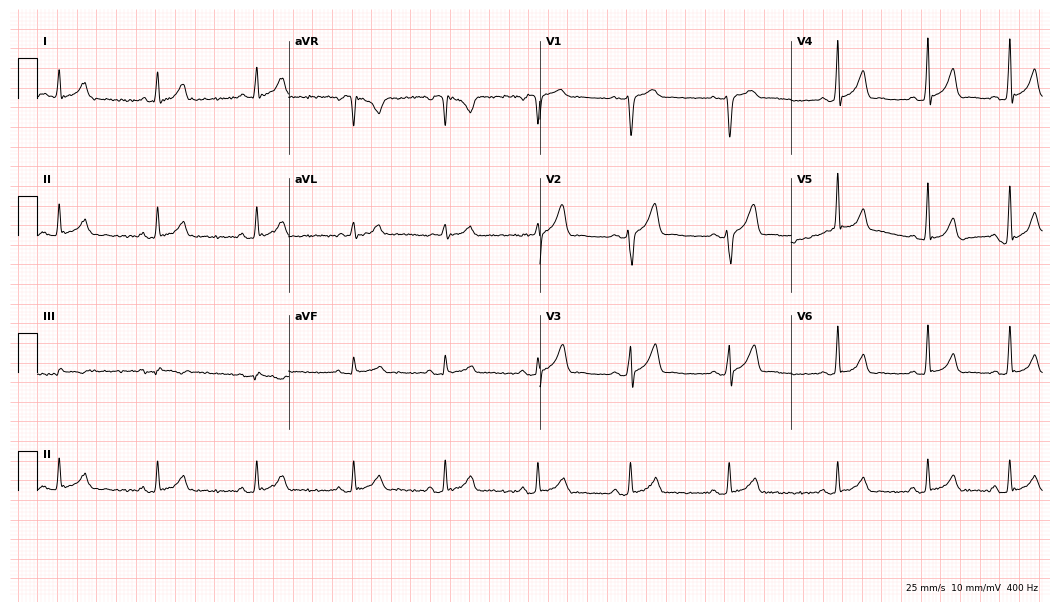
12-lead ECG (10.2-second recording at 400 Hz) from a 32-year-old male patient. Labelled as a normal ECG.